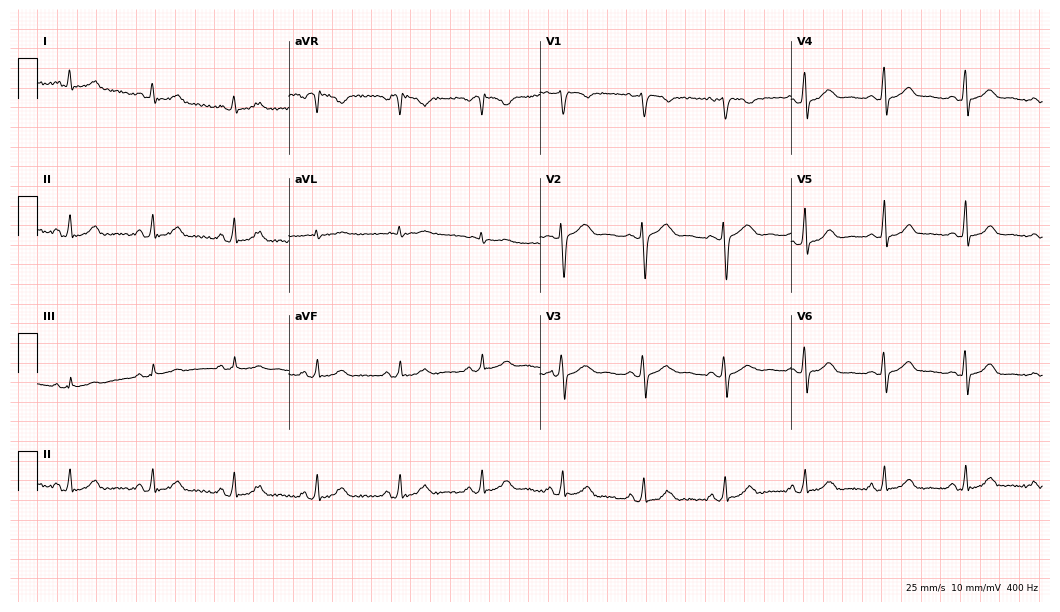
Electrocardiogram, a 31-year-old male patient. Overall reading on record: normal ECG.